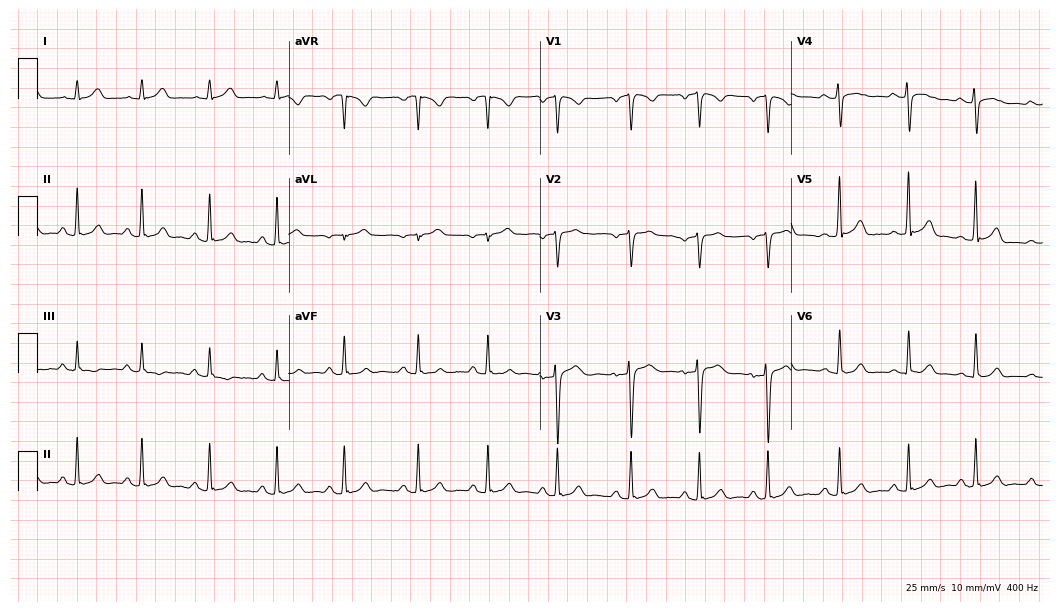
Standard 12-lead ECG recorded from a 22-year-old female. Read as a normal ECG.